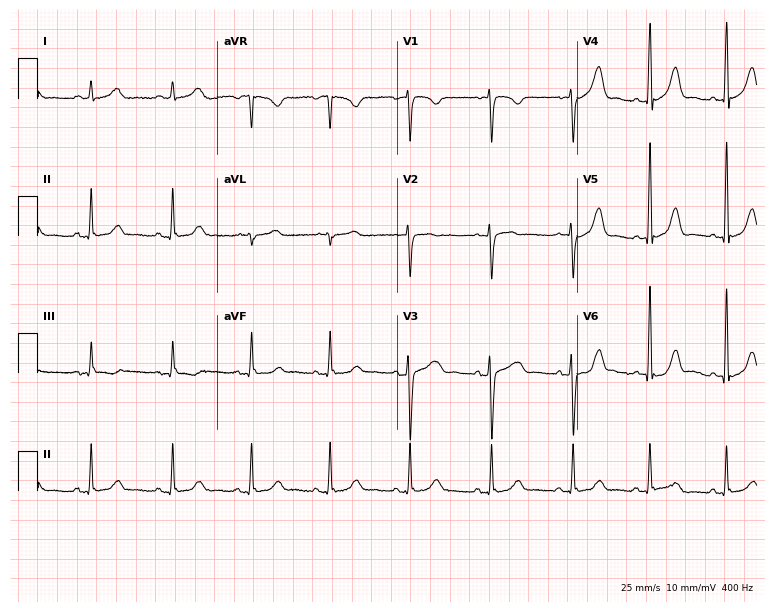
Electrocardiogram, a female patient, 29 years old. Overall reading on record: normal ECG.